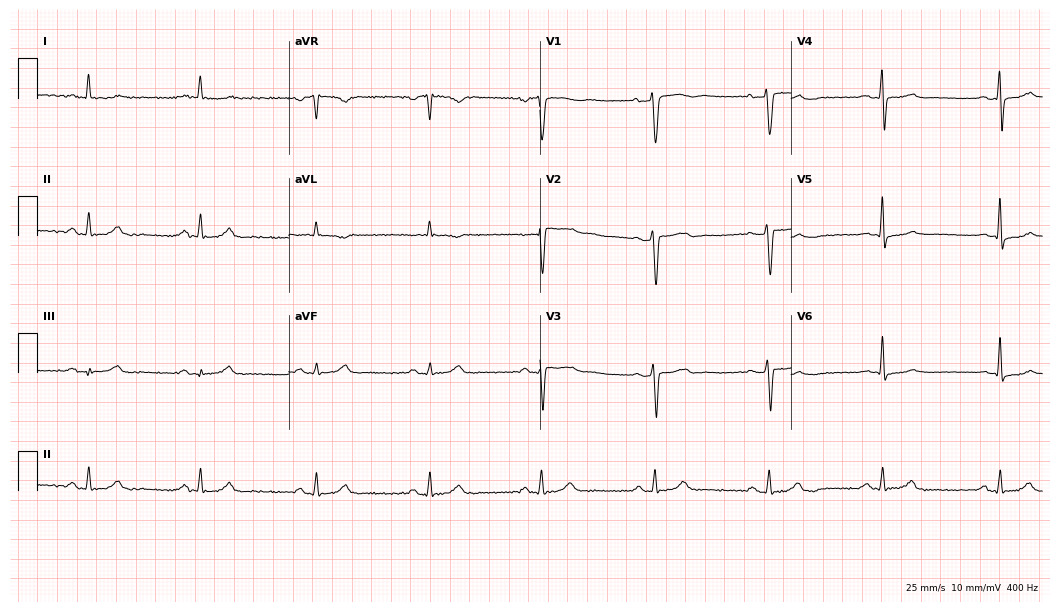
12-lead ECG from a male, 59 years old. Recorded interpretation: within normal limits.